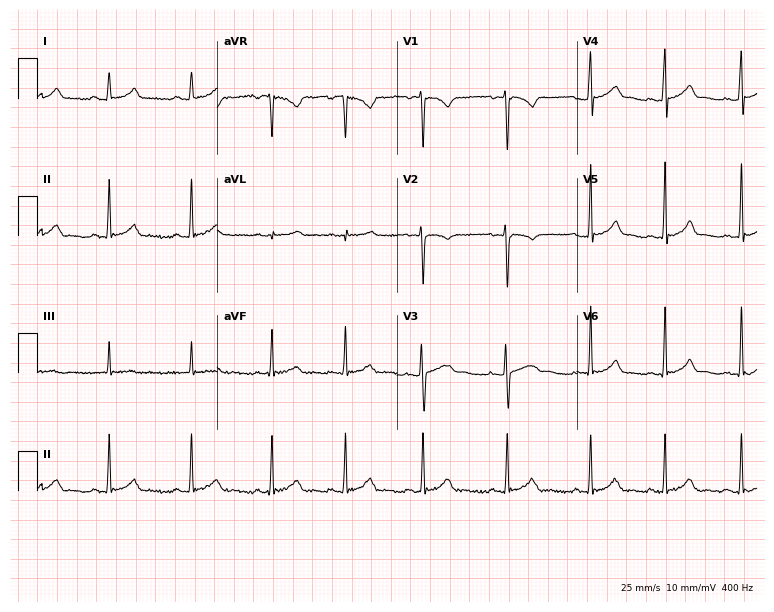
Standard 12-lead ECG recorded from a female patient, 18 years old. Read as a normal ECG.